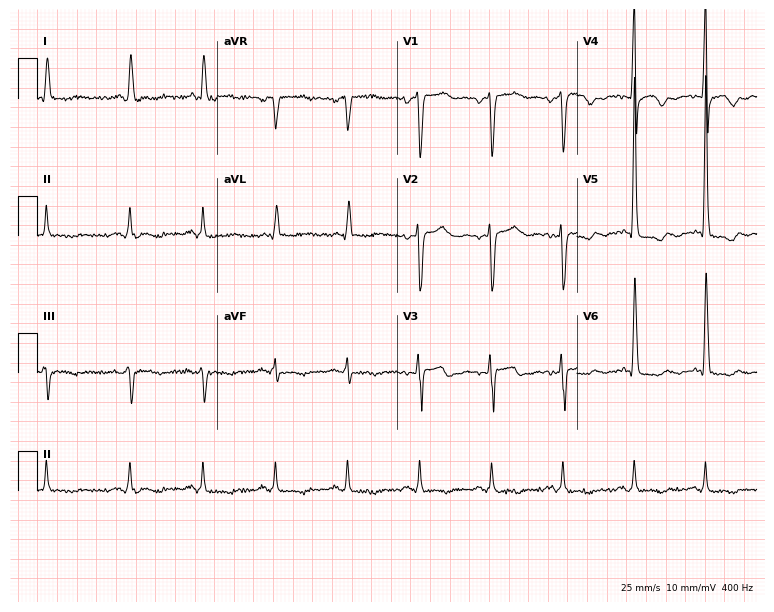
Electrocardiogram (7.3-second recording at 400 Hz), a 72-year-old male. Of the six screened findings (first-degree AV block, right bundle branch block, left bundle branch block, sinus bradycardia, atrial fibrillation, sinus tachycardia), none is recorded.